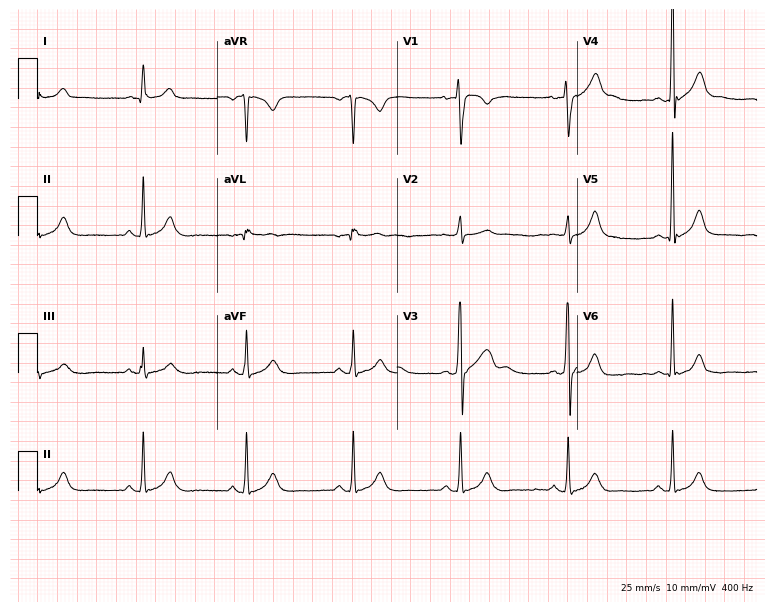
Resting 12-lead electrocardiogram (7.3-second recording at 400 Hz). Patient: a male, 30 years old. Read as a normal ECG.